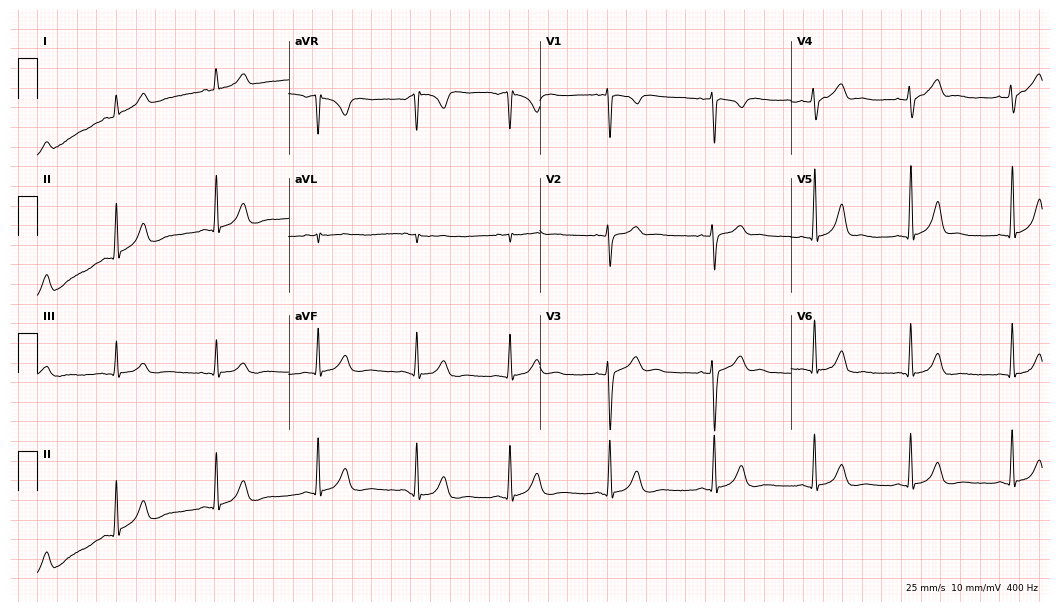
Electrocardiogram, a woman, 18 years old. Overall reading on record: normal ECG.